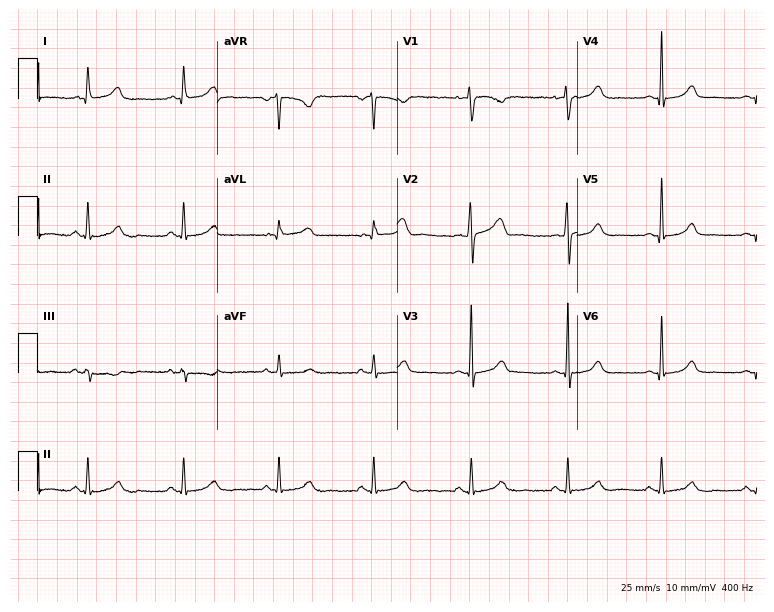
12-lead ECG from a 43-year-old woman. Recorded interpretation: within normal limits.